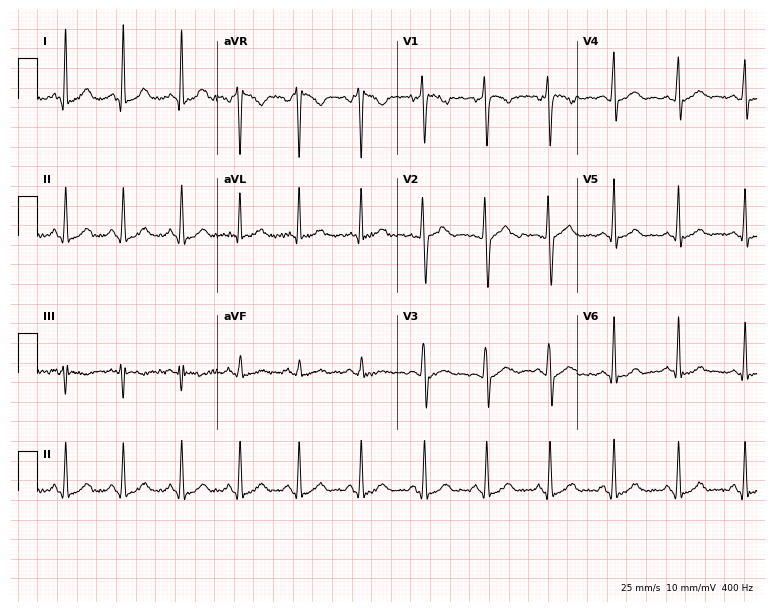
Standard 12-lead ECG recorded from a 22-year-old man (7.3-second recording at 400 Hz). Read as a normal ECG.